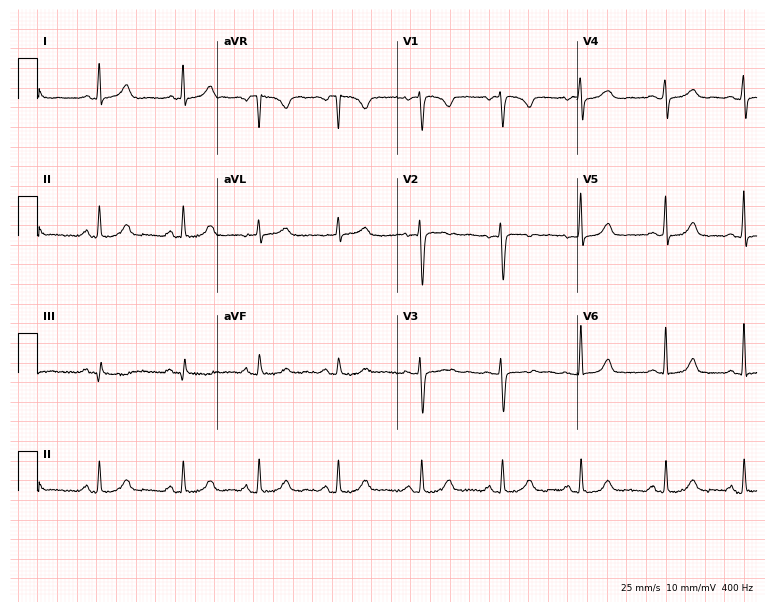
Standard 12-lead ECG recorded from a female, 34 years old. None of these six findings is recorded: first-degree AV block, right bundle branch block (RBBB), left bundle branch block (LBBB), sinus bradycardia, atrial fibrillation (AF), sinus tachycardia. Only these six findings were labelled.